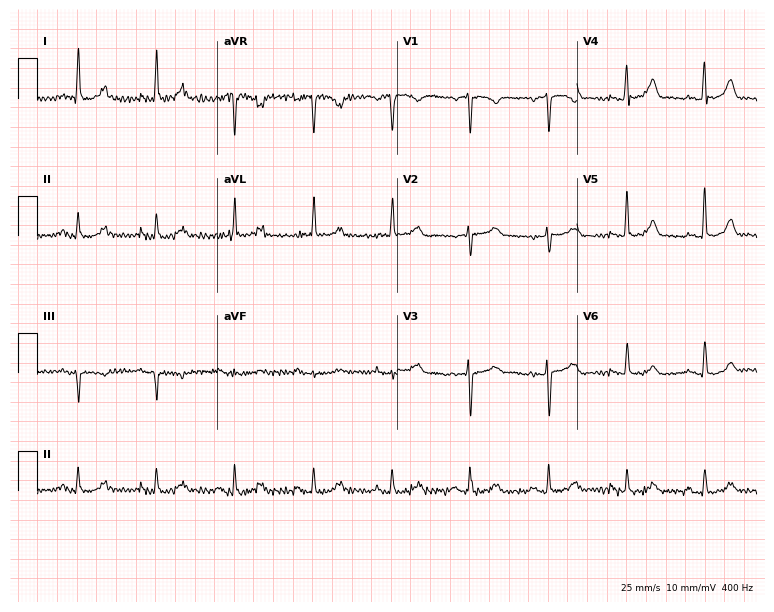
12-lead ECG (7.3-second recording at 400 Hz) from a 69-year-old female patient. Labelled as a normal ECG.